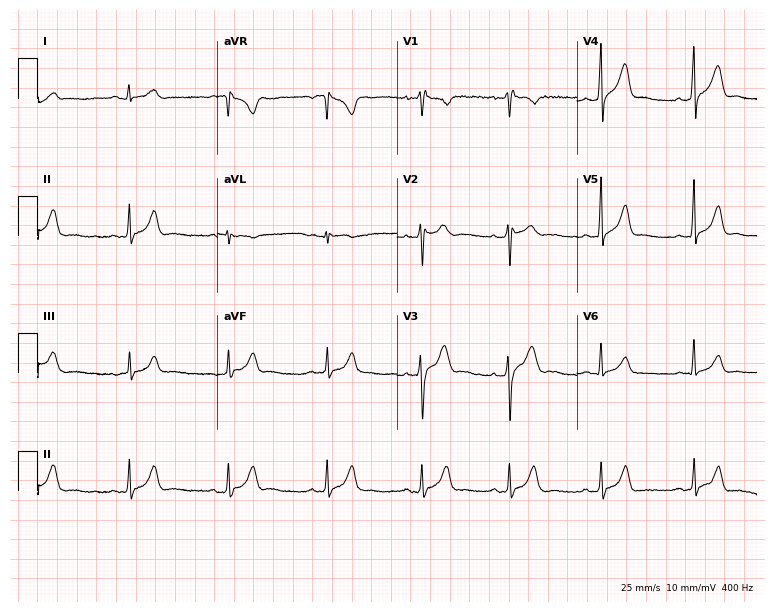
12-lead ECG from a 25-year-old man. No first-degree AV block, right bundle branch block, left bundle branch block, sinus bradycardia, atrial fibrillation or sinus tachycardia recorded for this tracing.